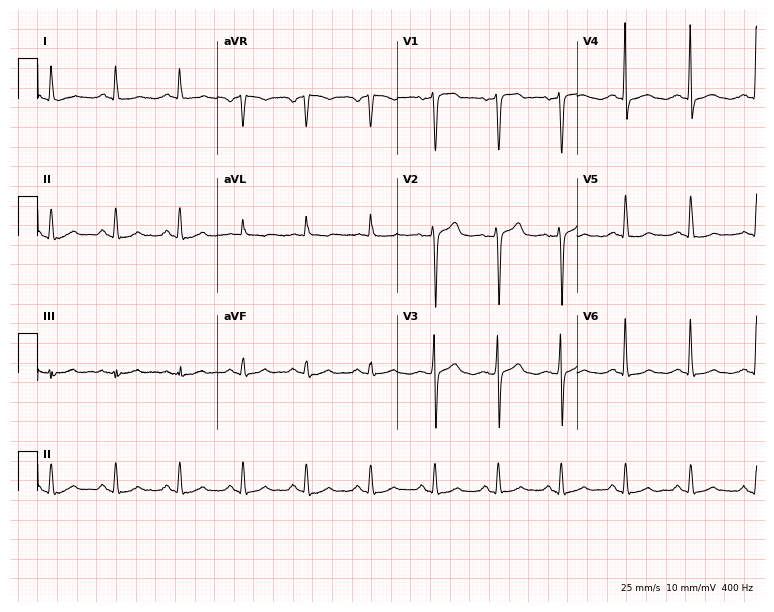
Standard 12-lead ECG recorded from a 74-year-old female (7.3-second recording at 400 Hz). None of these six findings is recorded: first-degree AV block, right bundle branch block, left bundle branch block, sinus bradycardia, atrial fibrillation, sinus tachycardia.